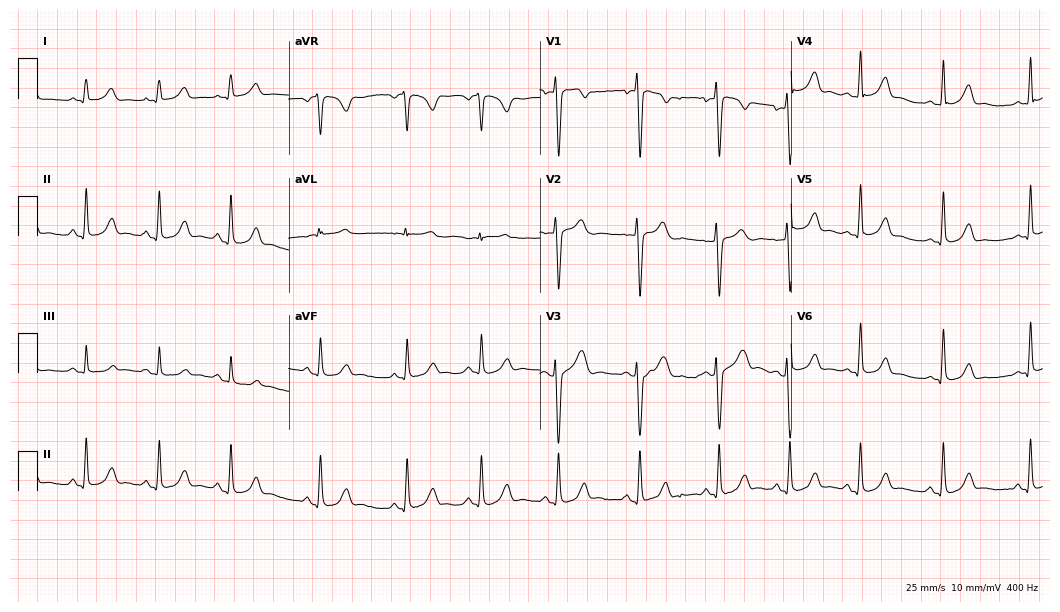
Resting 12-lead electrocardiogram. Patient: a 27-year-old woman. Read as a normal ECG.